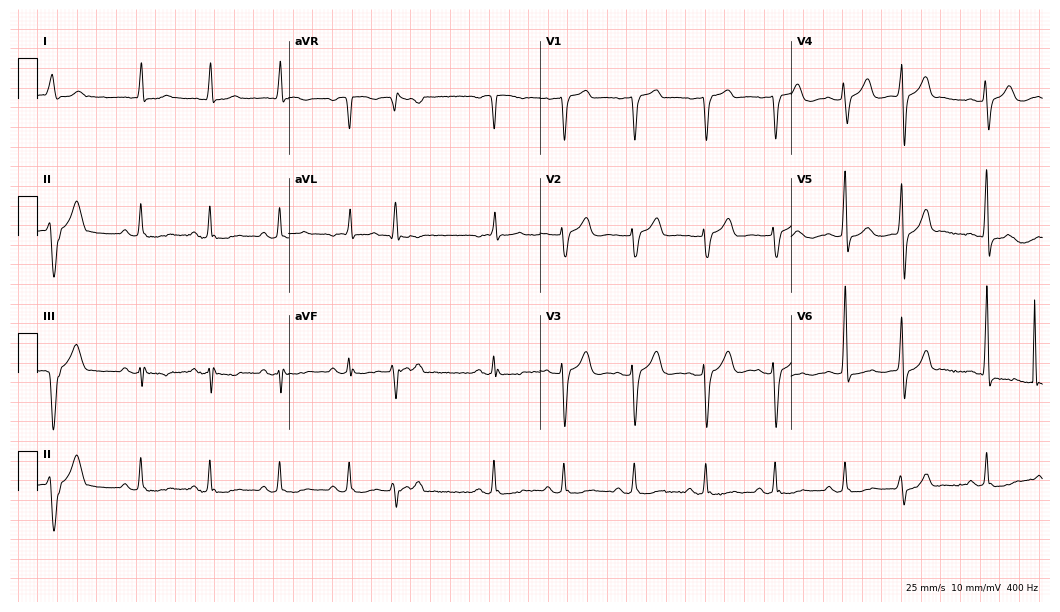
Electrocardiogram, a male, 81 years old. Of the six screened findings (first-degree AV block, right bundle branch block, left bundle branch block, sinus bradycardia, atrial fibrillation, sinus tachycardia), none is recorded. Findings outside these six are not listed.